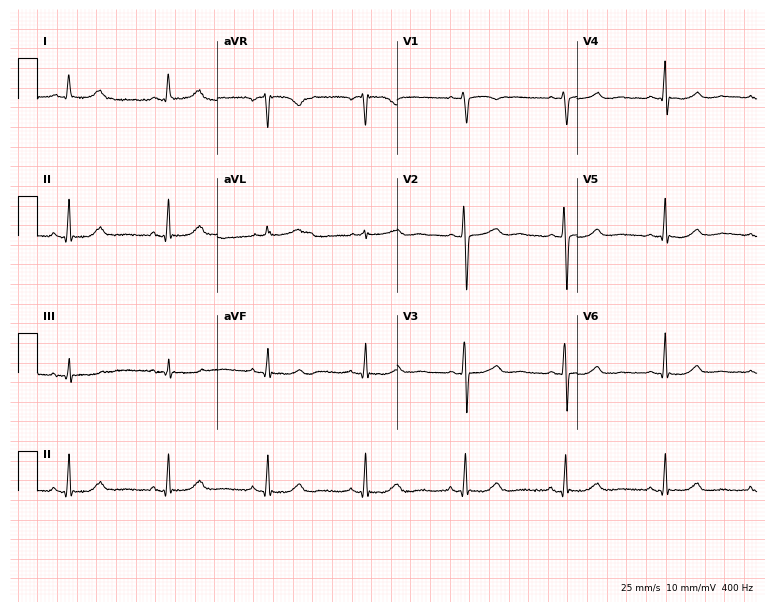
12-lead ECG (7.3-second recording at 400 Hz) from a 74-year-old female. Labelled as a normal ECG.